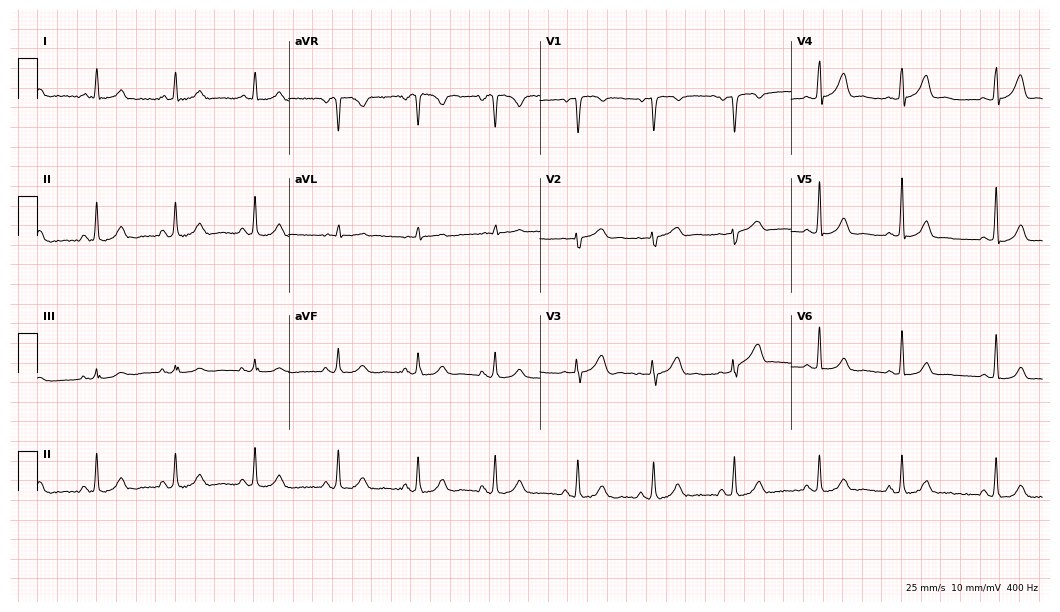
12-lead ECG (10.2-second recording at 400 Hz) from a 36-year-old female. Labelled as a normal ECG.